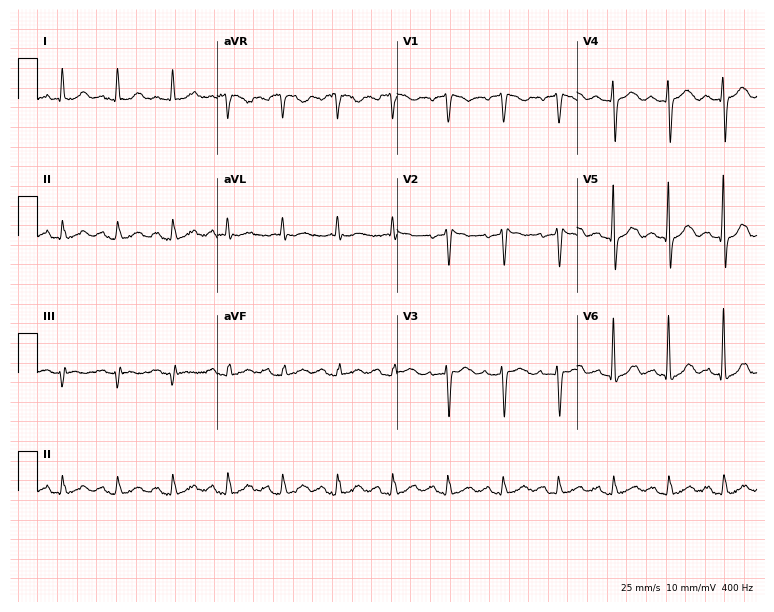
12-lead ECG (7.3-second recording at 400 Hz) from a female patient, 63 years old. Findings include sinus tachycardia (a sinus rate of 100 beats per minute or more).